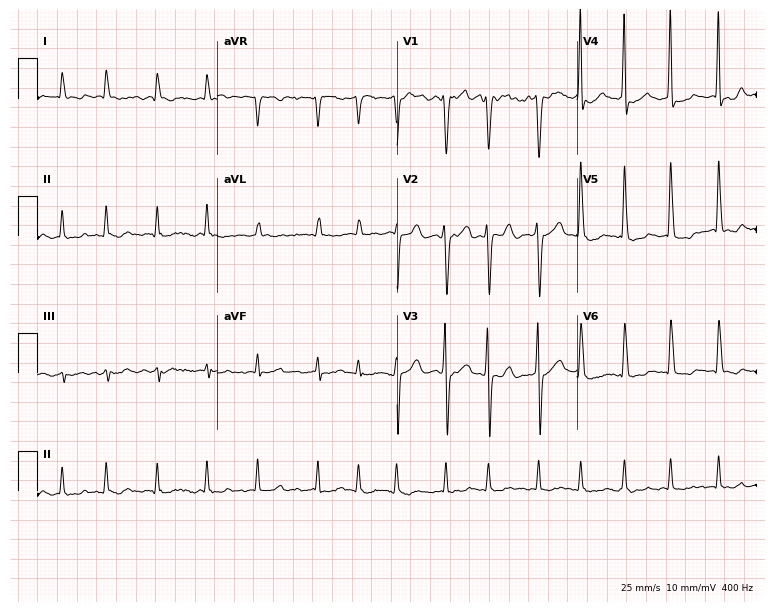
Standard 12-lead ECG recorded from a 73-year-old male. The tracing shows atrial fibrillation.